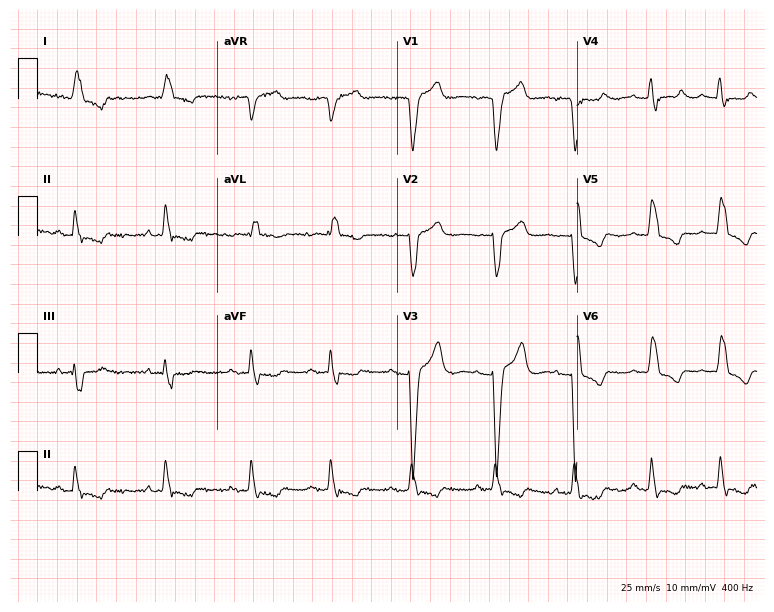
Electrocardiogram, an 81-year-old woman. Interpretation includes left bundle branch block (LBBB).